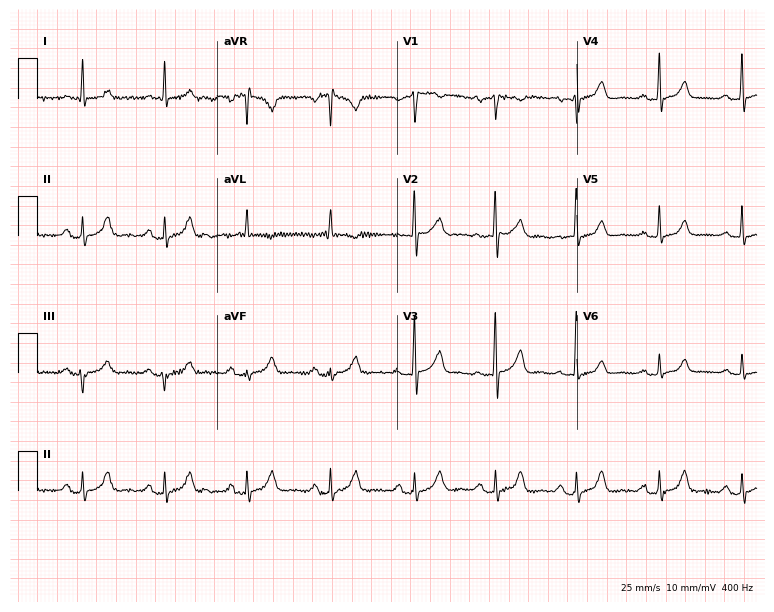
Electrocardiogram, a female, 68 years old. Overall reading on record: normal ECG.